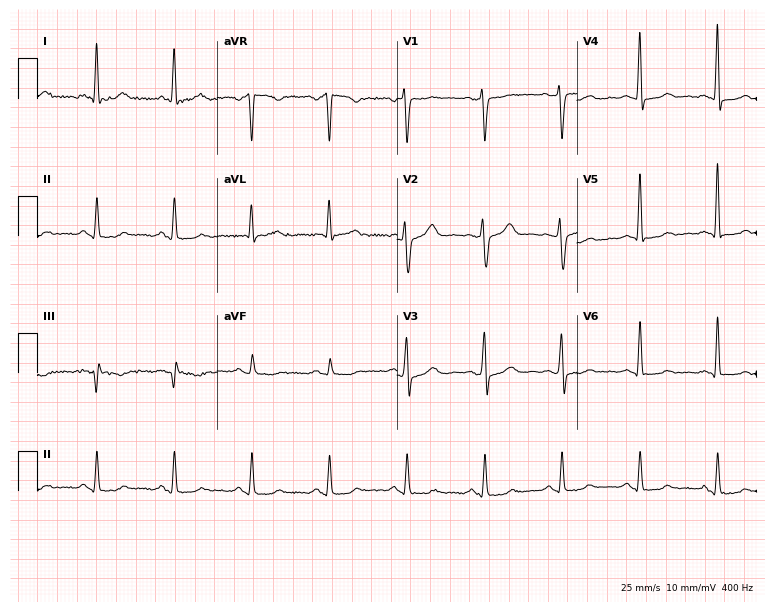
ECG (7.3-second recording at 400 Hz) — a man, 50 years old. Screened for six findings — first-degree AV block, right bundle branch block (RBBB), left bundle branch block (LBBB), sinus bradycardia, atrial fibrillation (AF), sinus tachycardia — none is recorded.